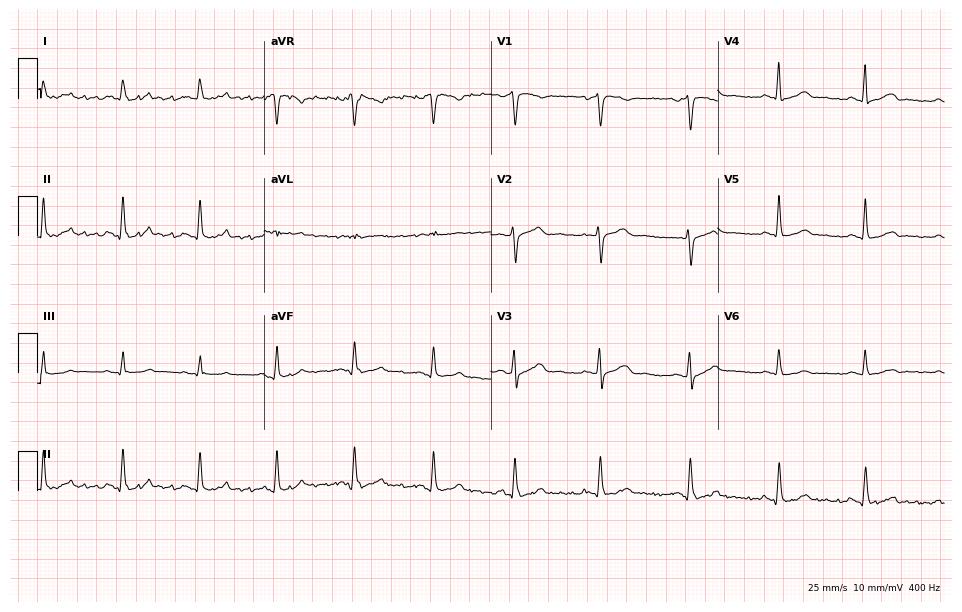
12-lead ECG from a man, 57 years old. Labelled as a normal ECG.